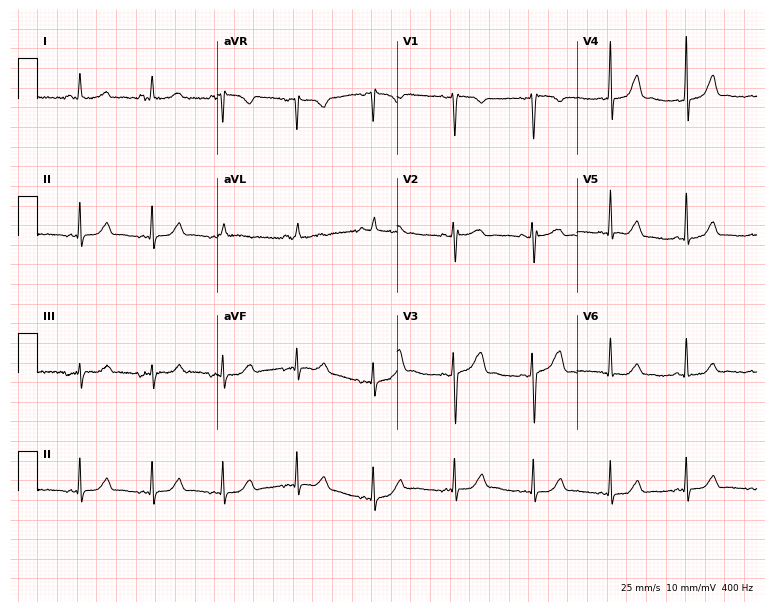
12-lead ECG (7.3-second recording at 400 Hz) from a 54-year-old woman. Labelled as a normal ECG.